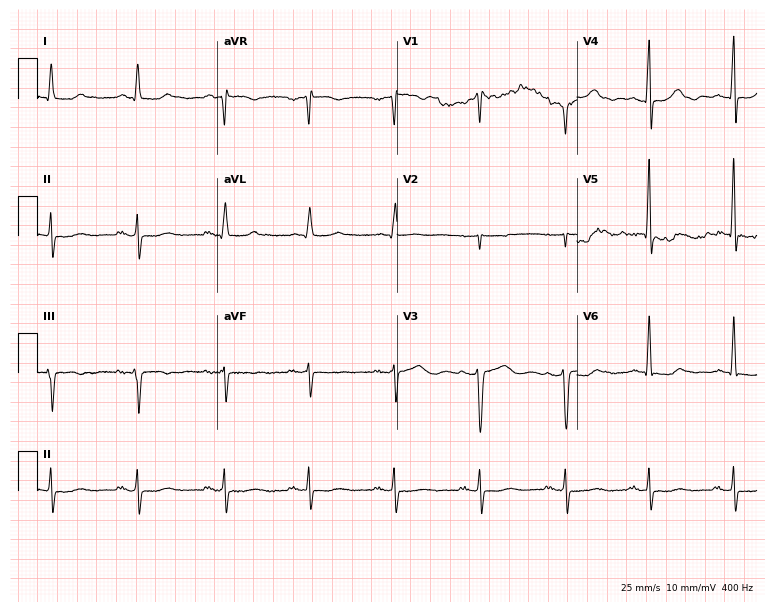
Resting 12-lead electrocardiogram. Patient: a female, 66 years old. None of these six findings is recorded: first-degree AV block, right bundle branch block (RBBB), left bundle branch block (LBBB), sinus bradycardia, atrial fibrillation (AF), sinus tachycardia.